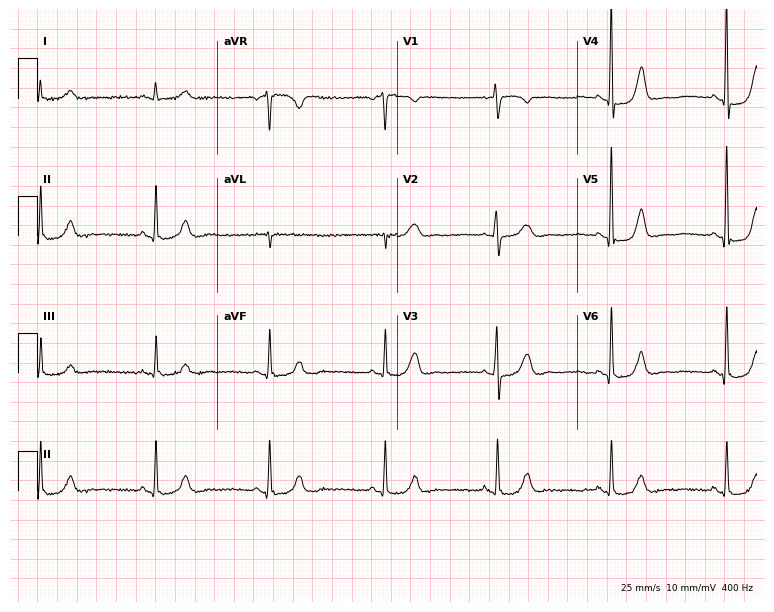
12-lead ECG from a female patient, 55 years old (7.3-second recording at 400 Hz). Shows sinus bradycardia (a sinus rate of 50 beats per minute or less).